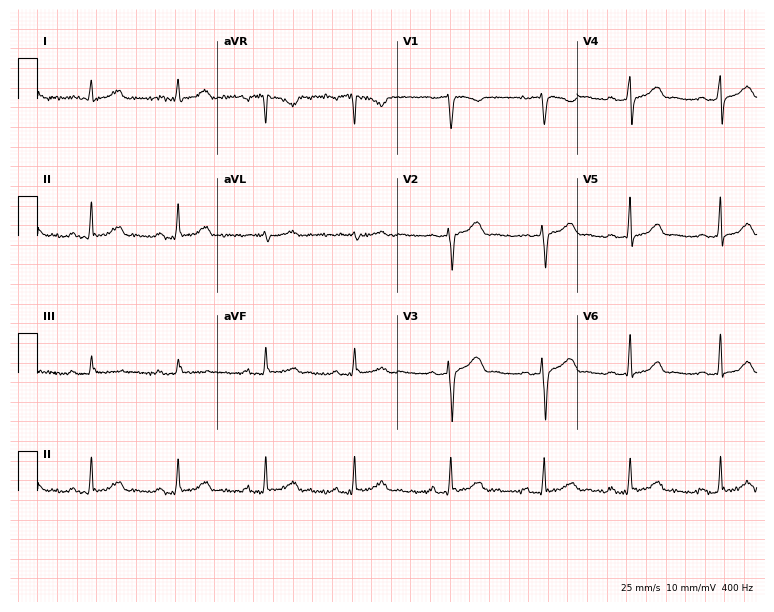
ECG (7.3-second recording at 400 Hz) — a 54-year-old female patient. Labelled as a normal ECG.